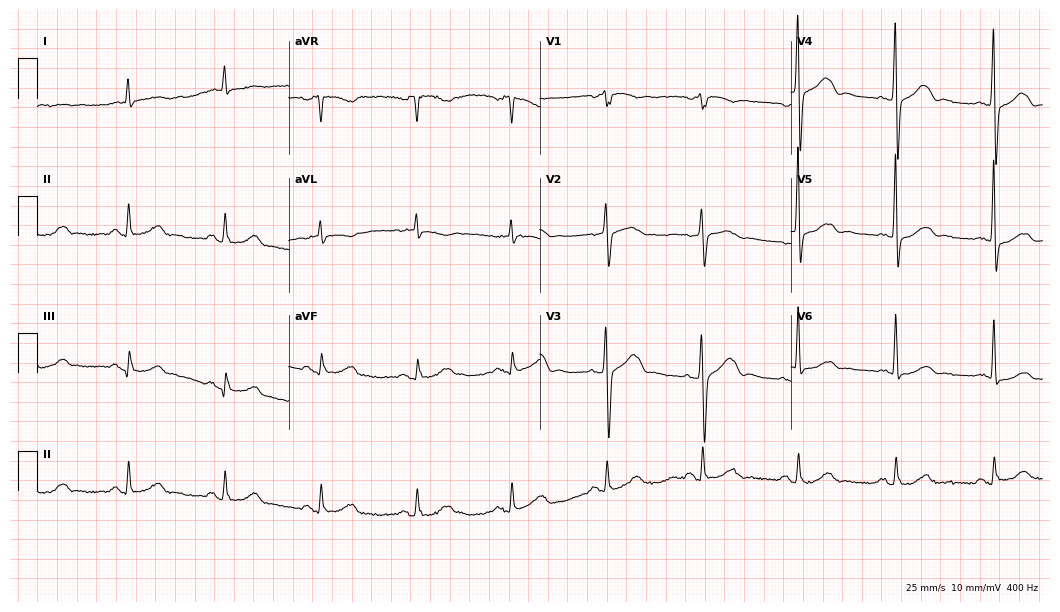
Electrocardiogram (10.2-second recording at 400 Hz), a male patient, 78 years old. Of the six screened findings (first-degree AV block, right bundle branch block (RBBB), left bundle branch block (LBBB), sinus bradycardia, atrial fibrillation (AF), sinus tachycardia), none is recorded.